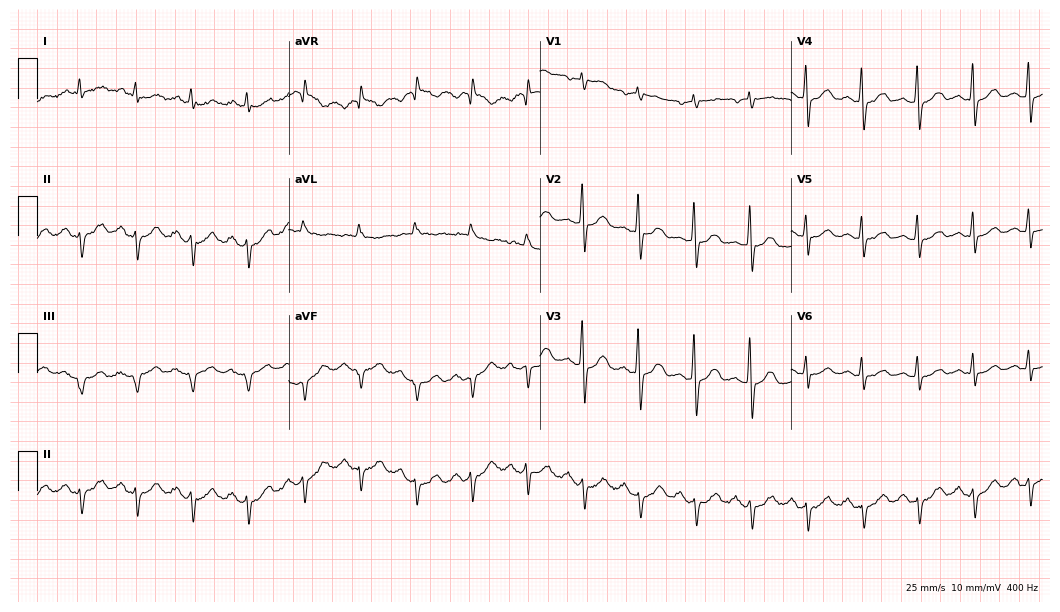
12-lead ECG from a 73-year-old man (10.2-second recording at 400 Hz). Shows sinus tachycardia (a sinus rate of 100 beats per minute or more).